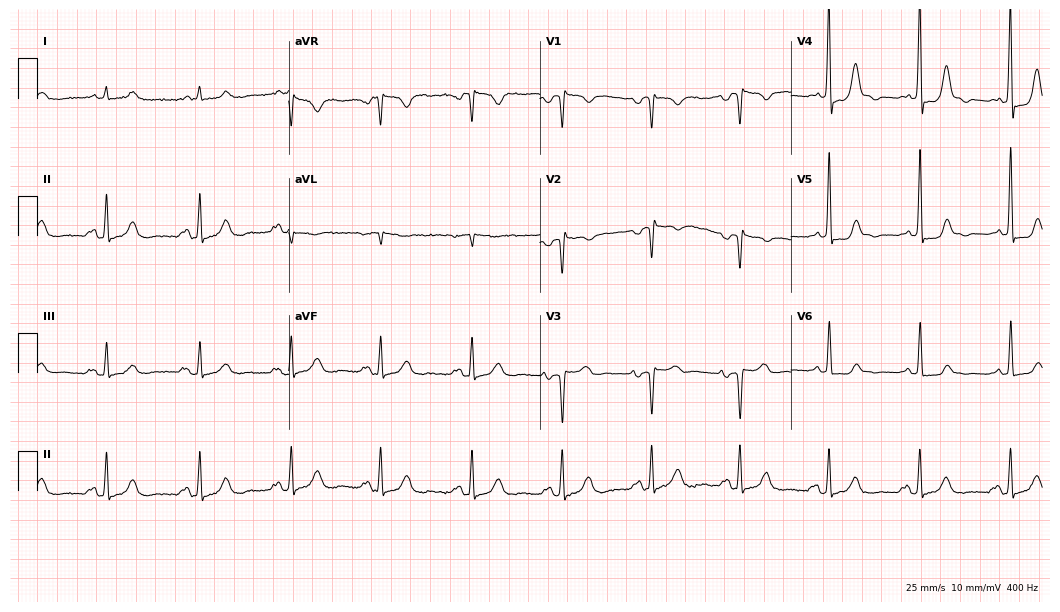
Resting 12-lead electrocardiogram. Patient: a female, 49 years old. None of these six findings is recorded: first-degree AV block, right bundle branch block, left bundle branch block, sinus bradycardia, atrial fibrillation, sinus tachycardia.